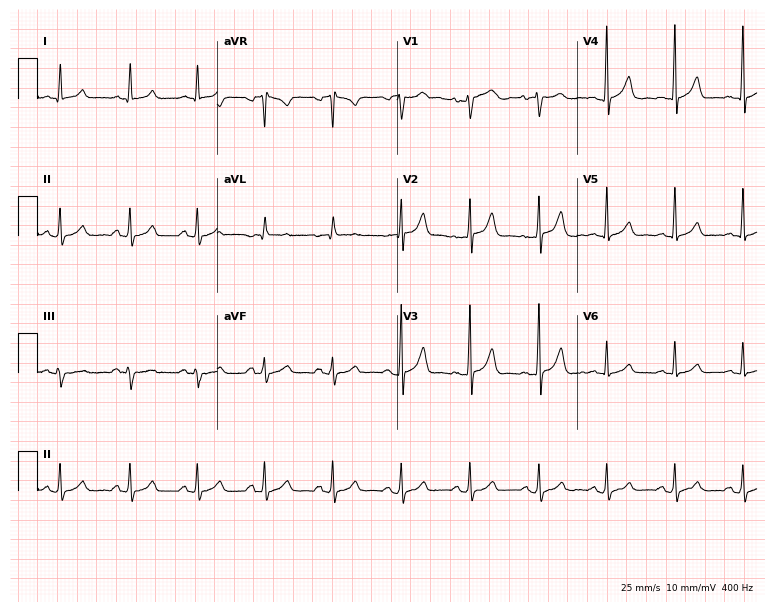
Electrocardiogram (7.3-second recording at 400 Hz), a male, 52 years old. Overall reading on record: normal ECG.